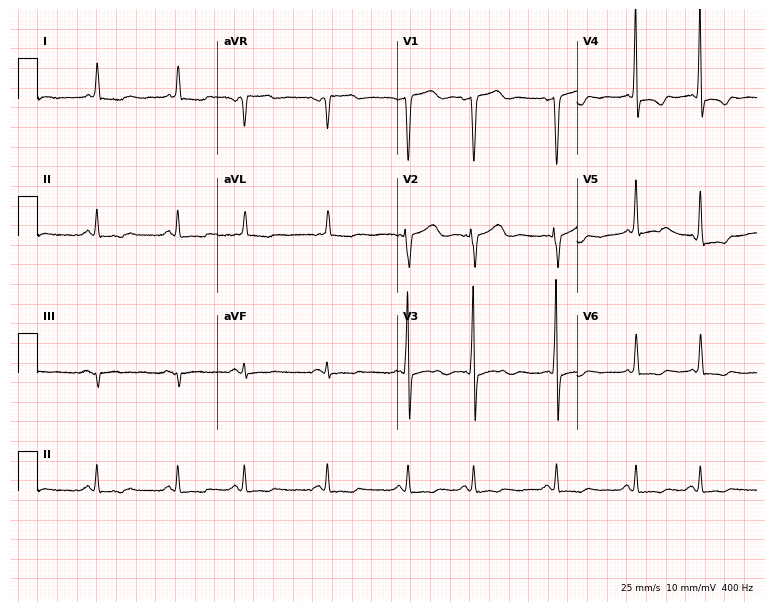
Resting 12-lead electrocardiogram (7.3-second recording at 400 Hz). Patient: an 80-year-old woman. None of these six findings is recorded: first-degree AV block, right bundle branch block, left bundle branch block, sinus bradycardia, atrial fibrillation, sinus tachycardia.